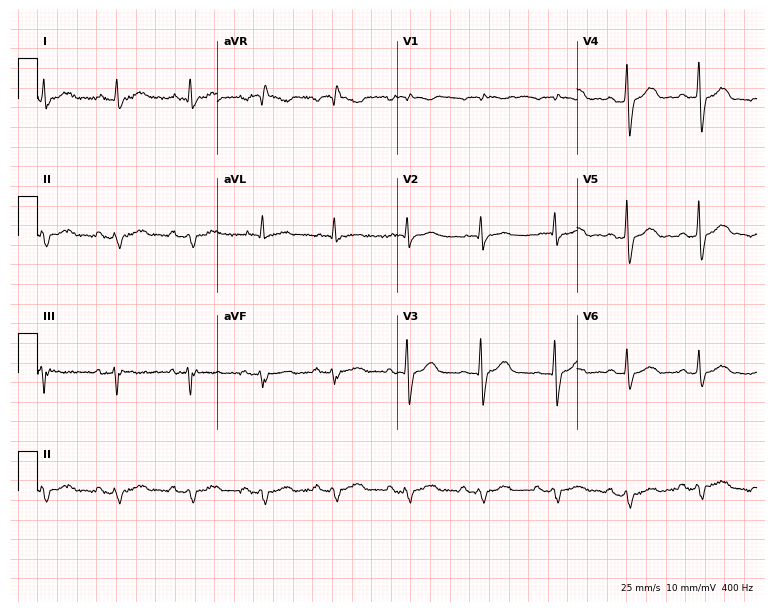
12-lead ECG from a 71-year-old male patient. Screened for six findings — first-degree AV block, right bundle branch block, left bundle branch block, sinus bradycardia, atrial fibrillation, sinus tachycardia — none is recorded.